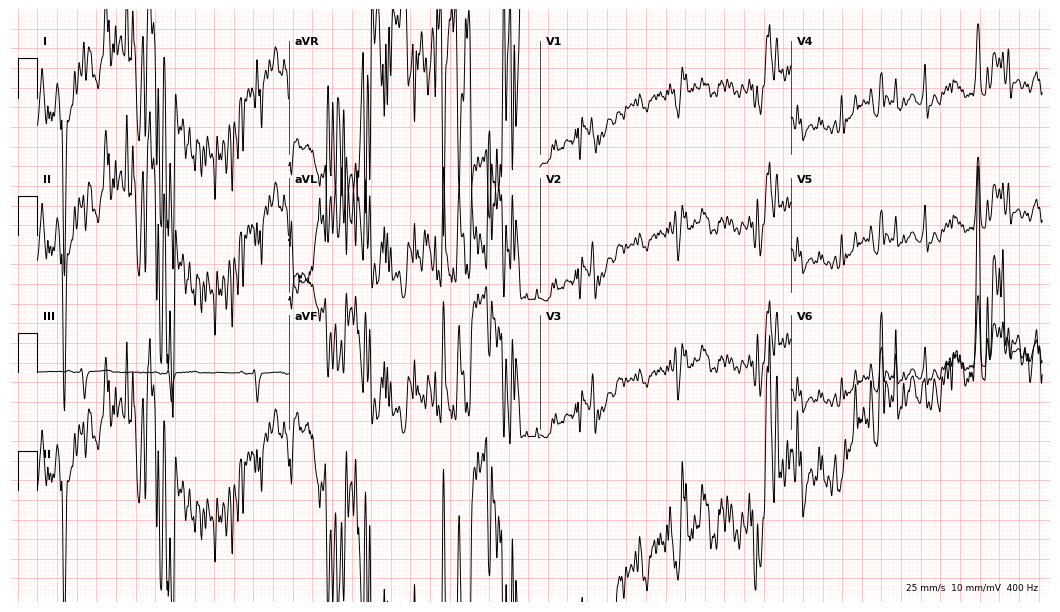
Standard 12-lead ECG recorded from a 61-year-old woman (10.2-second recording at 400 Hz). None of these six findings is recorded: first-degree AV block, right bundle branch block (RBBB), left bundle branch block (LBBB), sinus bradycardia, atrial fibrillation (AF), sinus tachycardia. Only these six findings were labelled.